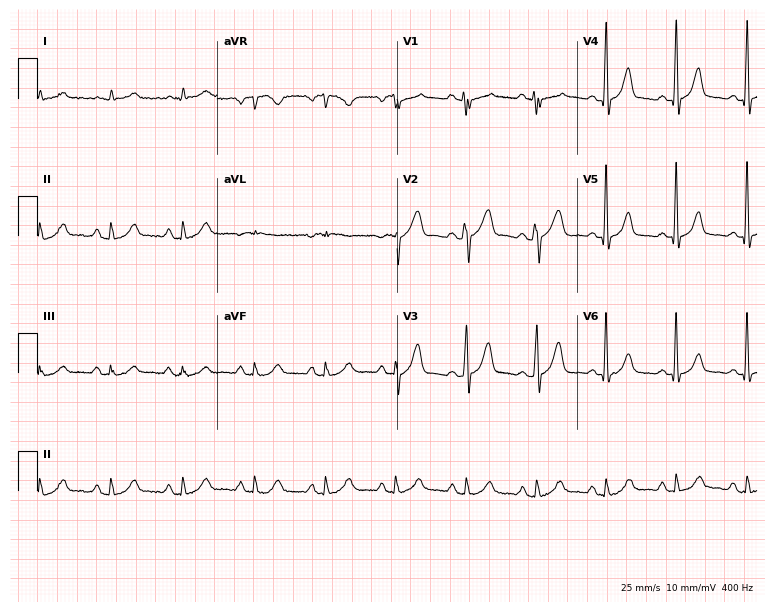
12-lead ECG from a 41-year-old man. Recorded interpretation: within normal limits.